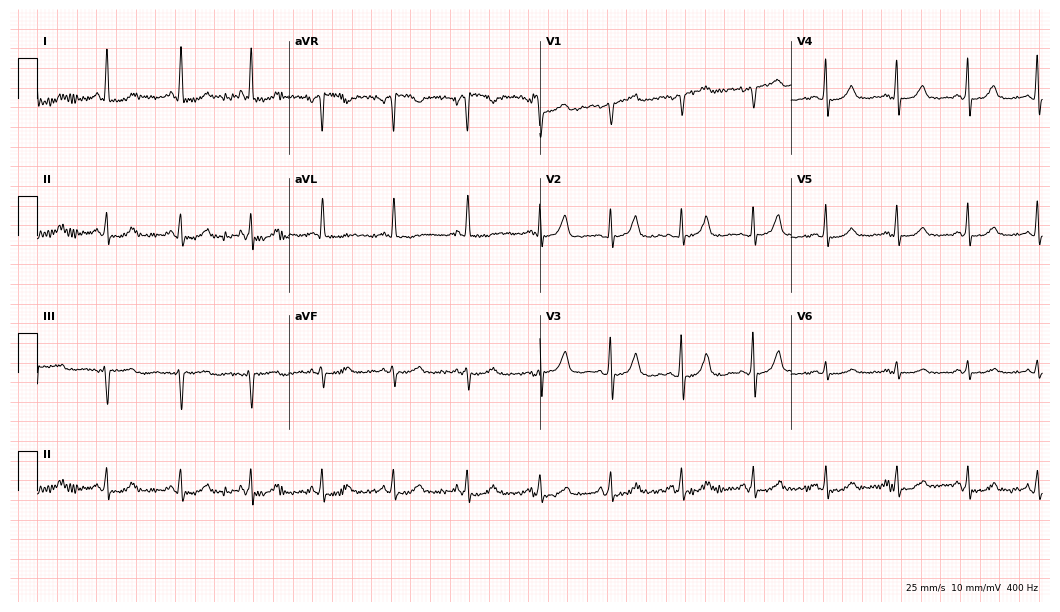
Resting 12-lead electrocardiogram. Patient: a woman, 67 years old. None of these six findings is recorded: first-degree AV block, right bundle branch block, left bundle branch block, sinus bradycardia, atrial fibrillation, sinus tachycardia.